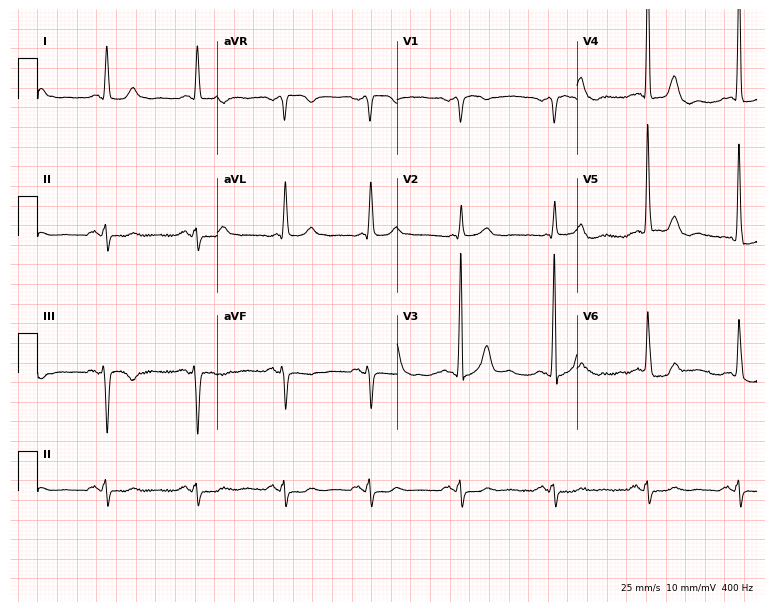
Electrocardiogram (7.3-second recording at 400 Hz), an 83-year-old man. Of the six screened findings (first-degree AV block, right bundle branch block, left bundle branch block, sinus bradycardia, atrial fibrillation, sinus tachycardia), none is recorded. Only these six findings were labelled.